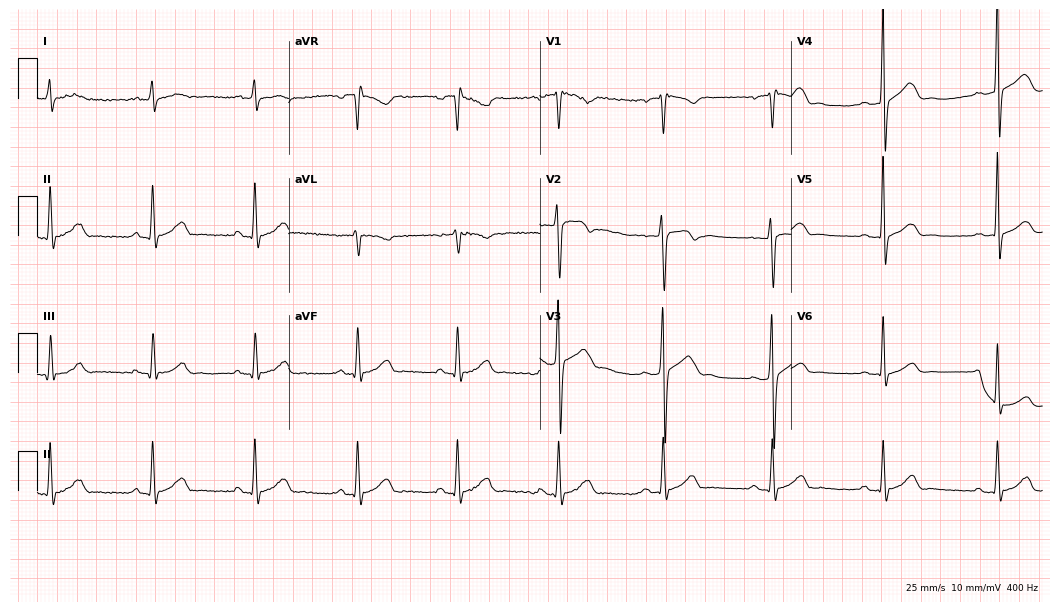
Standard 12-lead ECG recorded from a male patient, 26 years old (10.2-second recording at 400 Hz). Read as a normal ECG.